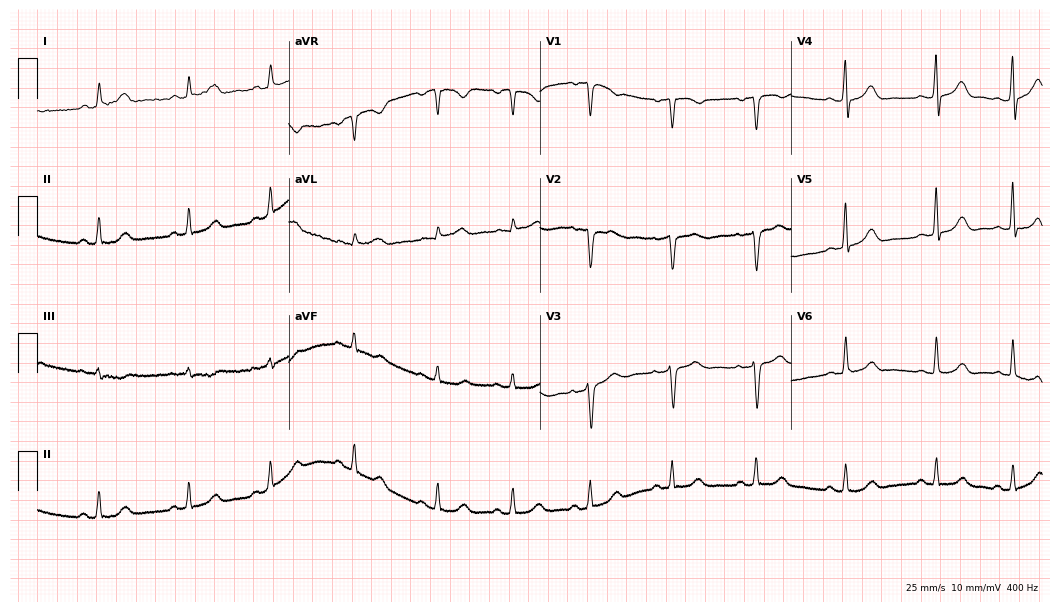
12-lead ECG (10.2-second recording at 400 Hz) from a woman, 28 years old. Labelled as a normal ECG.